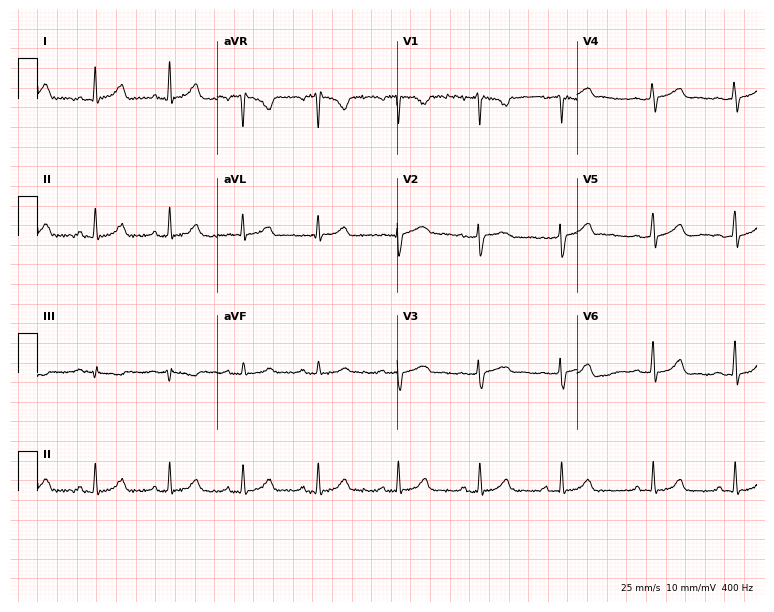
ECG — a 36-year-old female. Labelled as a normal ECG.